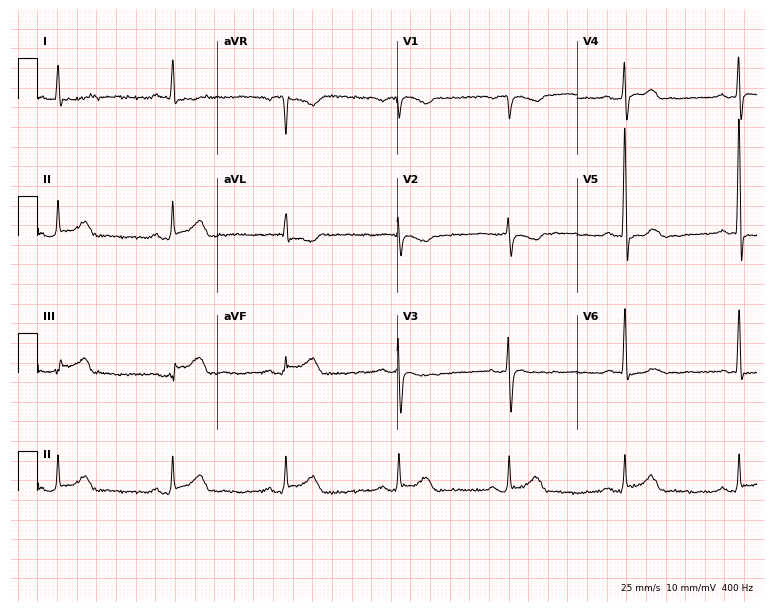
Standard 12-lead ECG recorded from a man, 70 years old. None of these six findings is recorded: first-degree AV block, right bundle branch block (RBBB), left bundle branch block (LBBB), sinus bradycardia, atrial fibrillation (AF), sinus tachycardia. Only these six findings were labelled.